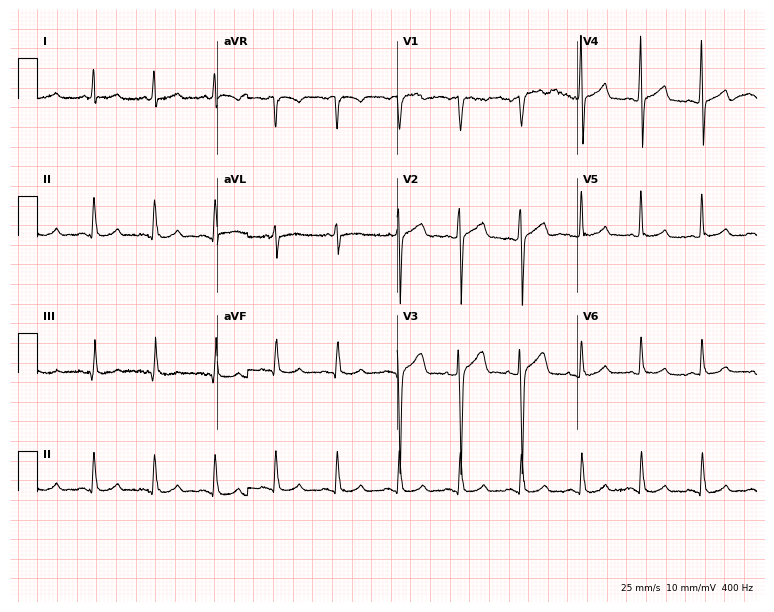
Resting 12-lead electrocardiogram. Patient: a 50-year-old male. None of these six findings is recorded: first-degree AV block, right bundle branch block (RBBB), left bundle branch block (LBBB), sinus bradycardia, atrial fibrillation (AF), sinus tachycardia. Other findings, if any, are not listed.